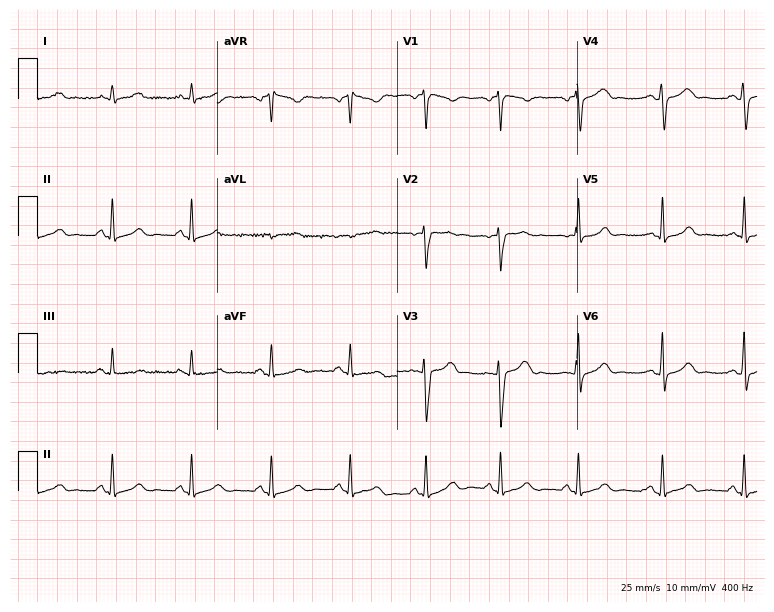
ECG — a 39-year-old woman. Labelled as a normal ECG.